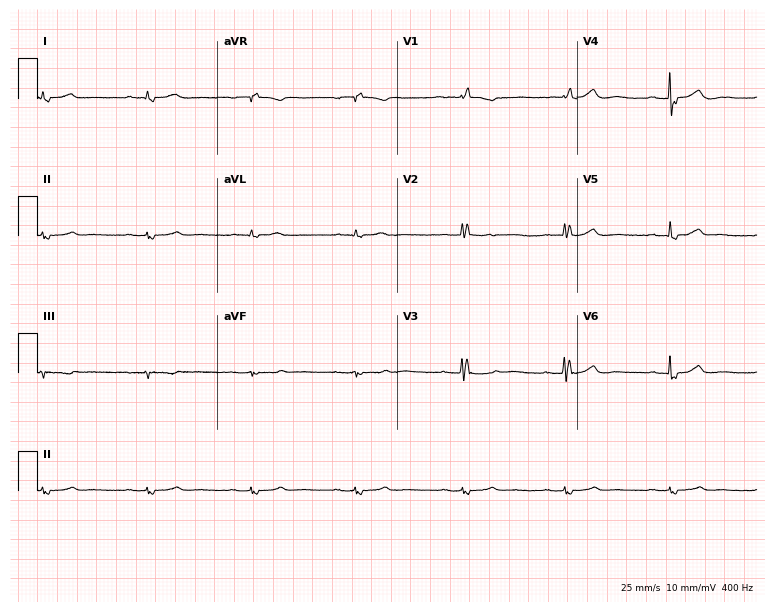
Resting 12-lead electrocardiogram (7.3-second recording at 400 Hz). Patient: a female, 83 years old. None of these six findings is recorded: first-degree AV block, right bundle branch block, left bundle branch block, sinus bradycardia, atrial fibrillation, sinus tachycardia.